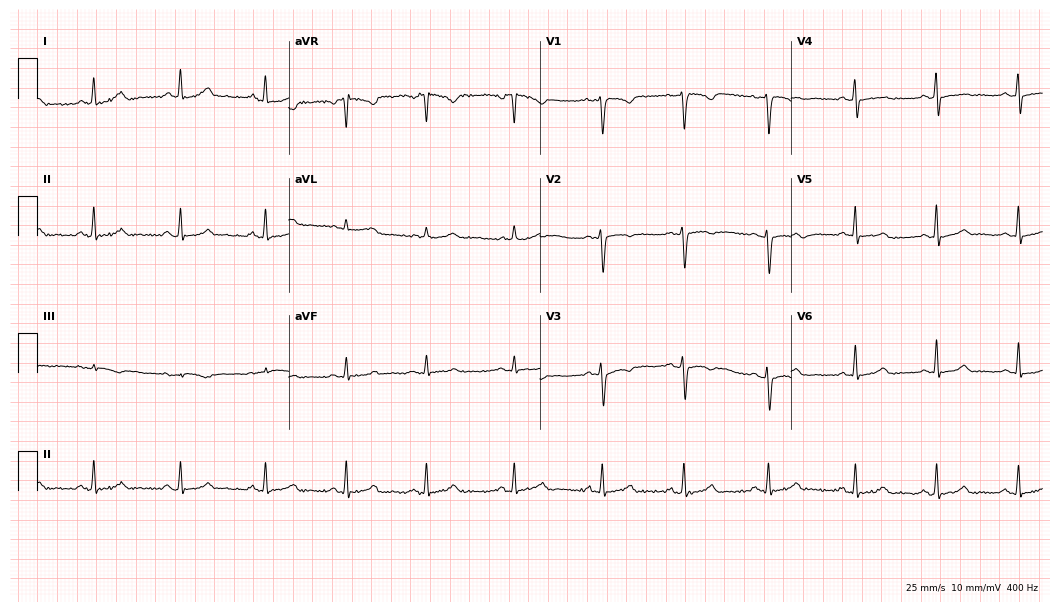
Resting 12-lead electrocardiogram. Patient: a 35-year-old woman. None of these six findings is recorded: first-degree AV block, right bundle branch block, left bundle branch block, sinus bradycardia, atrial fibrillation, sinus tachycardia.